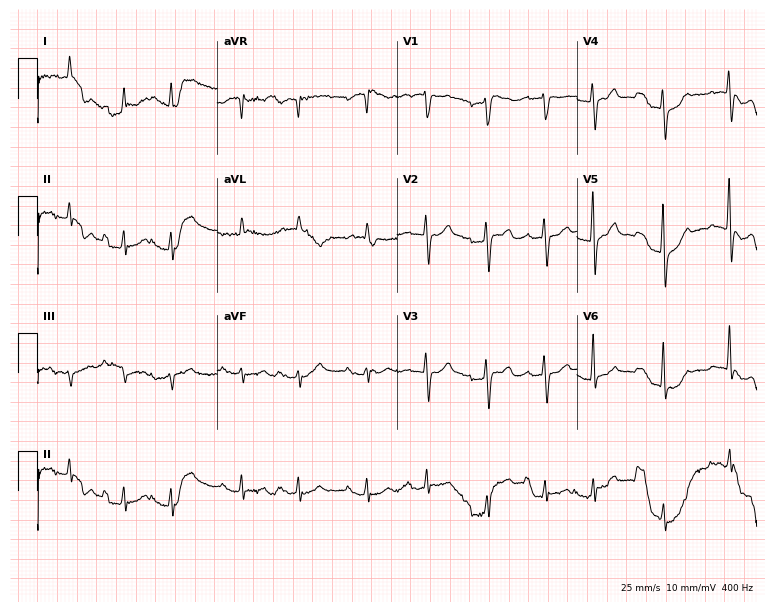
12-lead ECG from a male, 83 years old. No first-degree AV block, right bundle branch block, left bundle branch block, sinus bradycardia, atrial fibrillation or sinus tachycardia recorded for this tracing. Other findings, if any, are not listed.